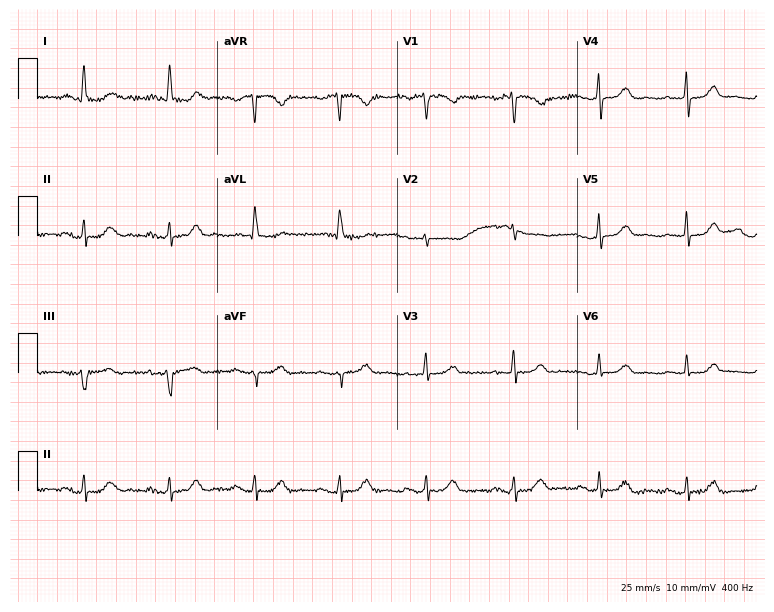
ECG (7.3-second recording at 400 Hz) — a male patient, 82 years old. Labelled as a normal ECG.